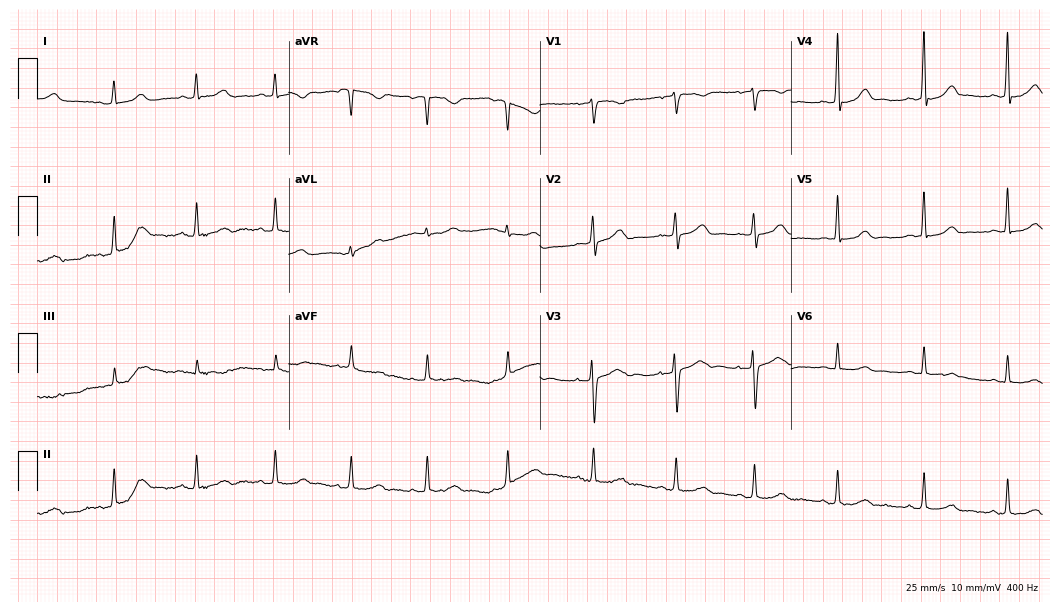
12-lead ECG from a 26-year-old female. Recorded interpretation: within normal limits.